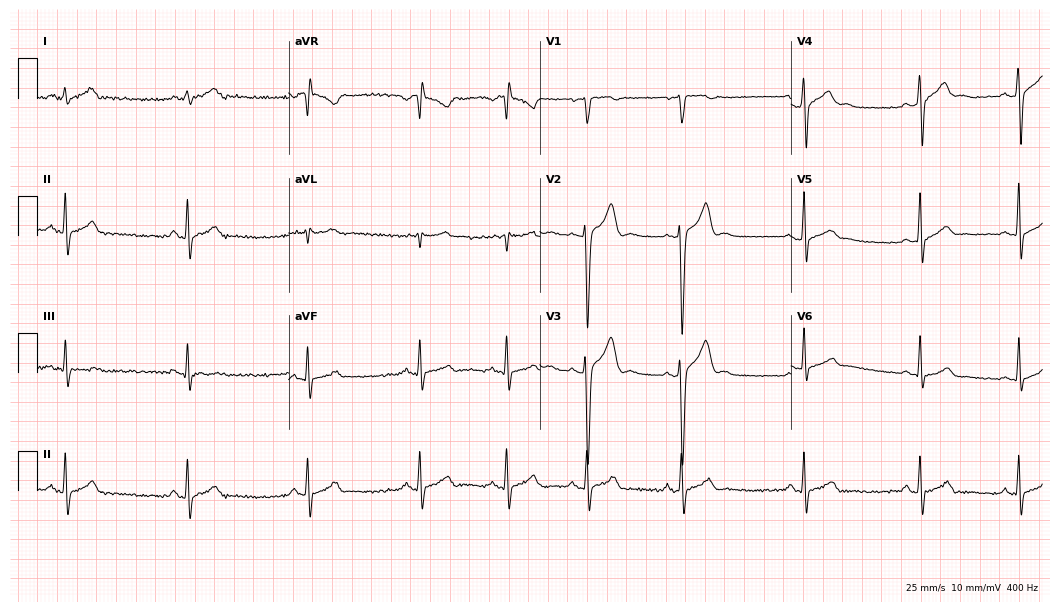
Resting 12-lead electrocardiogram (10.2-second recording at 400 Hz). Patient: a 22-year-old male. Read as a normal ECG.